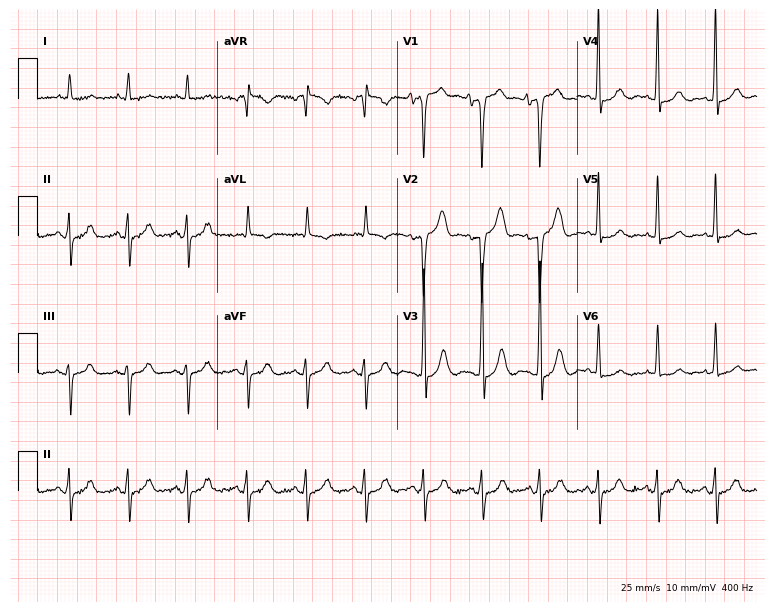
Standard 12-lead ECG recorded from an 82-year-old male. None of these six findings is recorded: first-degree AV block, right bundle branch block (RBBB), left bundle branch block (LBBB), sinus bradycardia, atrial fibrillation (AF), sinus tachycardia.